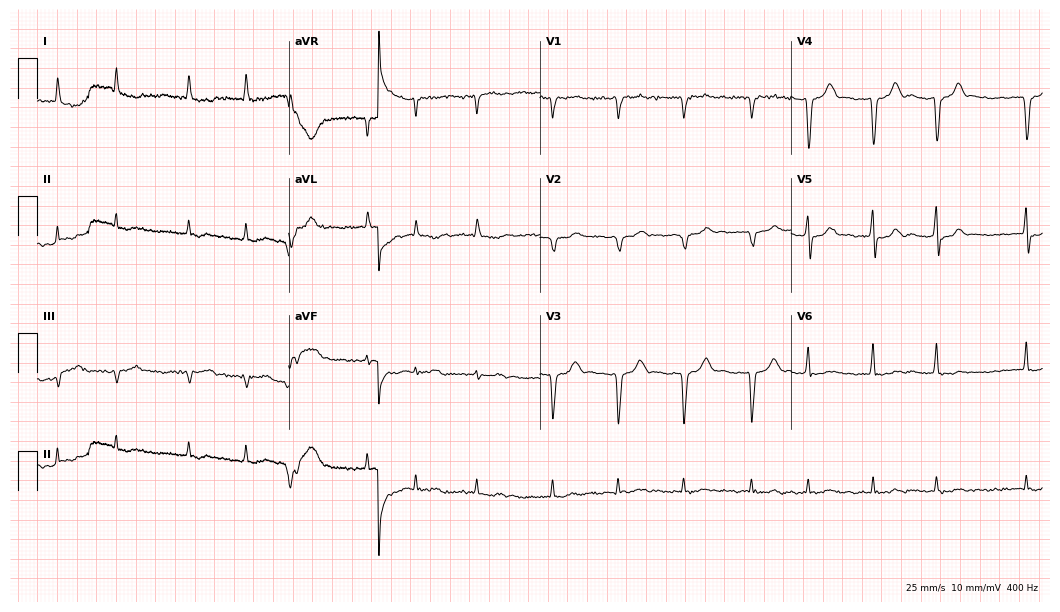
Electrocardiogram (10.2-second recording at 400 Hz), a 66-year-old male patient. Of the six screened findings (first-degree AV block, right bundle branch block (RBBB), left bundle branch block (LBBB), sinus bradycardia, atrial fibrillation (AF), sinus tachycardia), none is recorded.